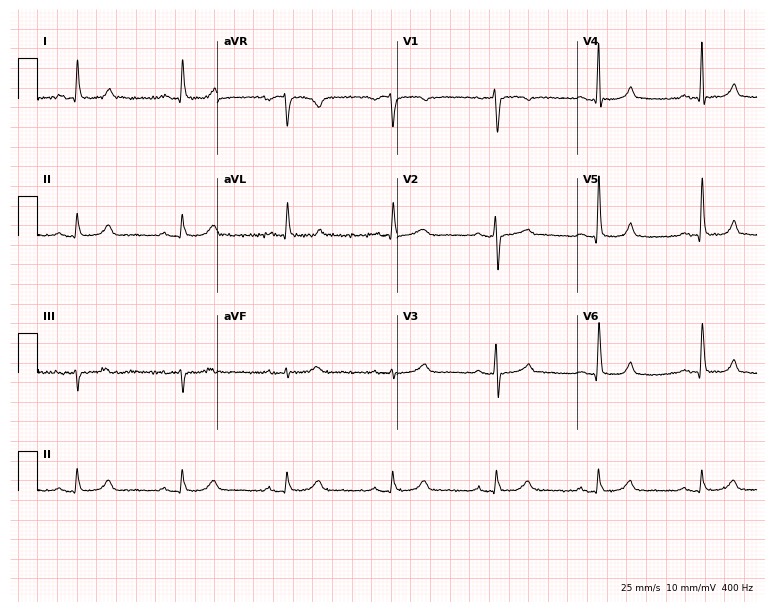
12-lead ECG from an 81-year-old male (7.3-second recording at 400 Hz). No first-degree AV block, right bundle branch block (RBBB), left bundle branch block (LBBB), sinus bradycardia, atrial fibrillation (AF) or sinus tachycardia recorded for this tracing.